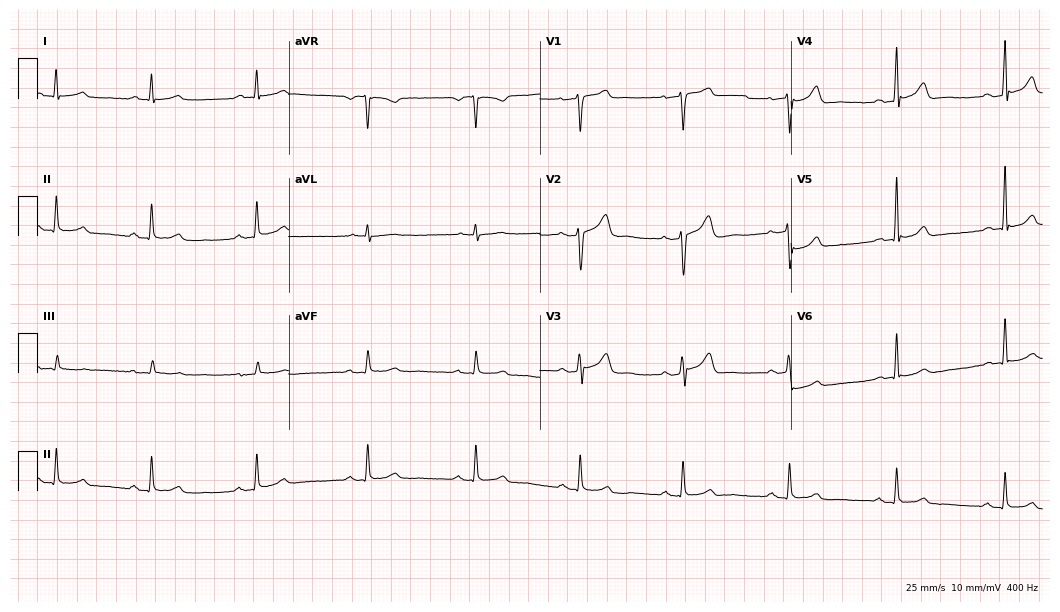
Resting 12-lead electrocardiogram (10.2-second recording at 400 Hz). Patient: a male, 57 years old. Read as a normal ECG.